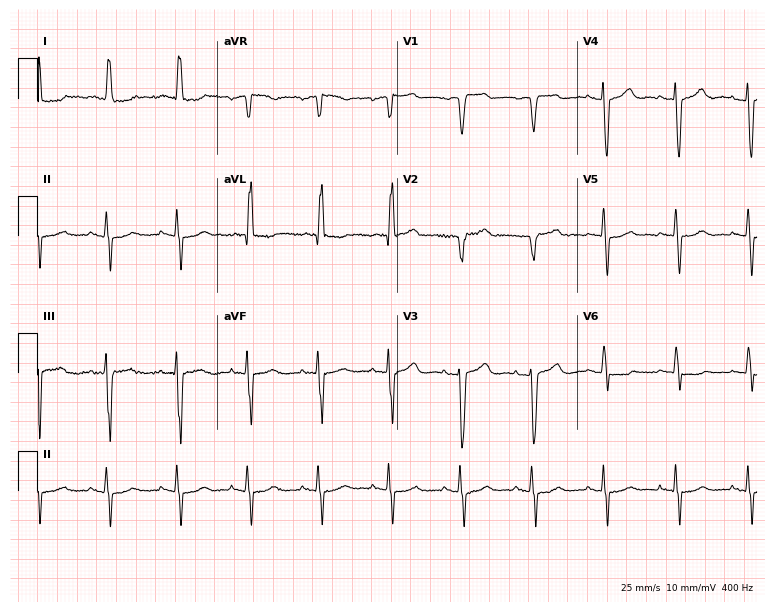
Resting 12-lead electrocardiogram (7.3-second recording at 400 Hz). Patient: a 68-year-old female. None of these six findings is recorded: first-degree AV block, right bundle branch block, left bundle branch block, sinus bradycardia, atrial fibrillation, sinus tachycardia. Only these six findings were labelled.